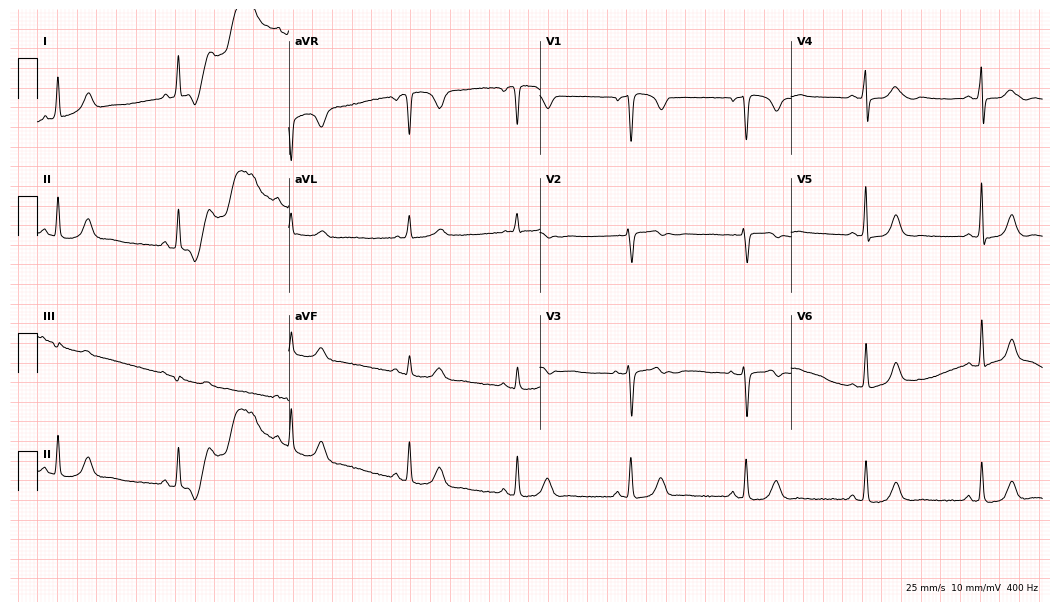
Electrocardiogram, a female patient, 56 years old. Overall reading on record: normal ECG.